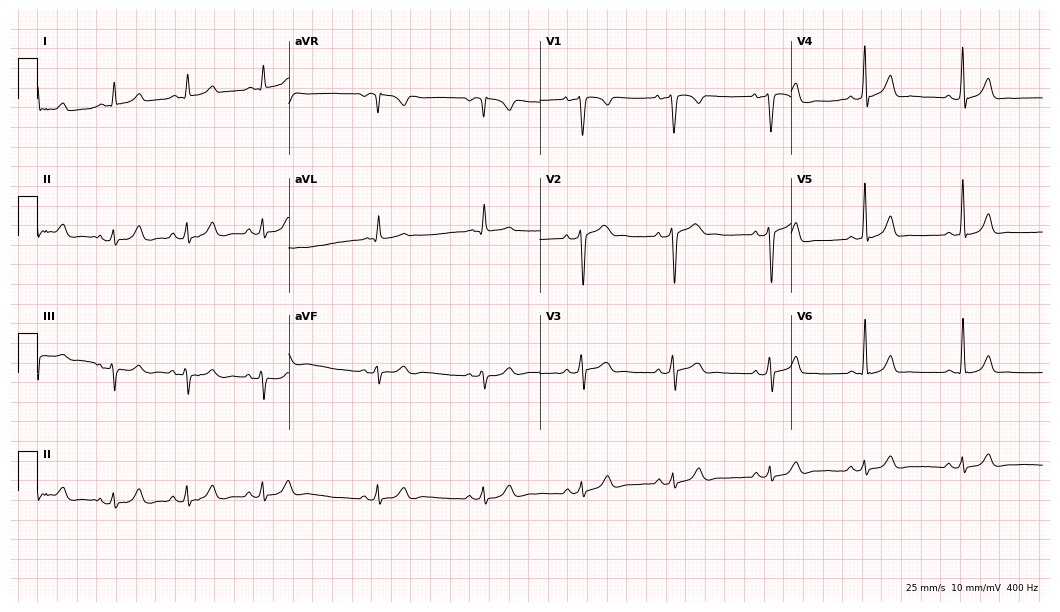
Electrocardiogram, a male patient, 30 years old. Overall reading on record: normal ECG.